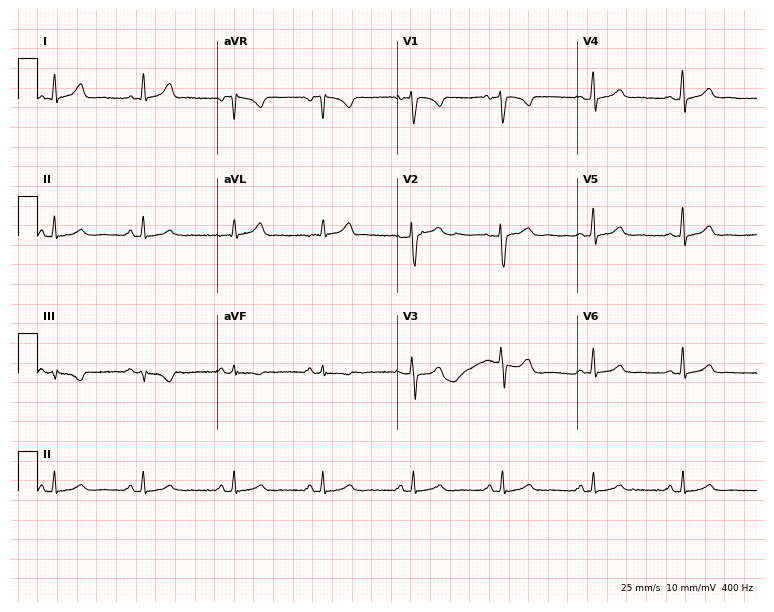
Electrocardiogram, a 34-year-old woman. Overall reading on record: normal ECG.